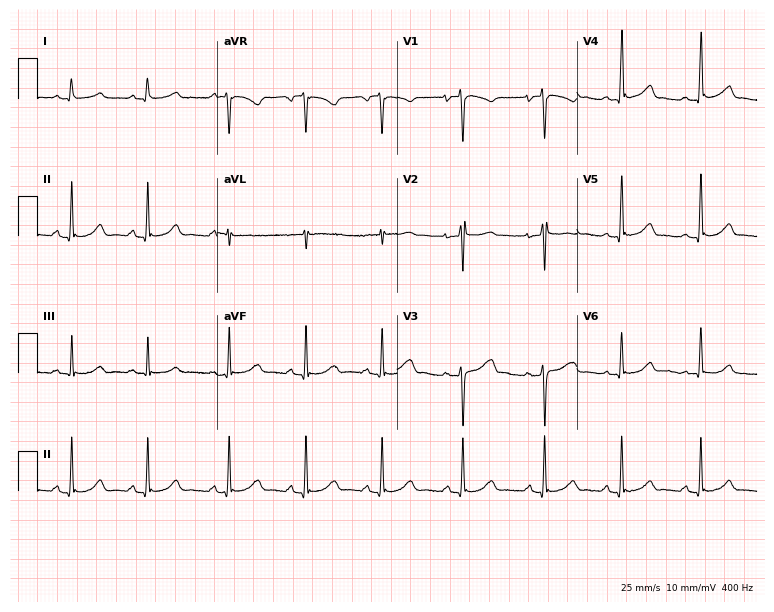
12-lead ECG from a 25-year-old female patient. No first-degree AV block, right bundle branch block, left bundle branch block, sinus bradycardia, atrial fibrillation or sinus tachycardia recorded for this tracing.